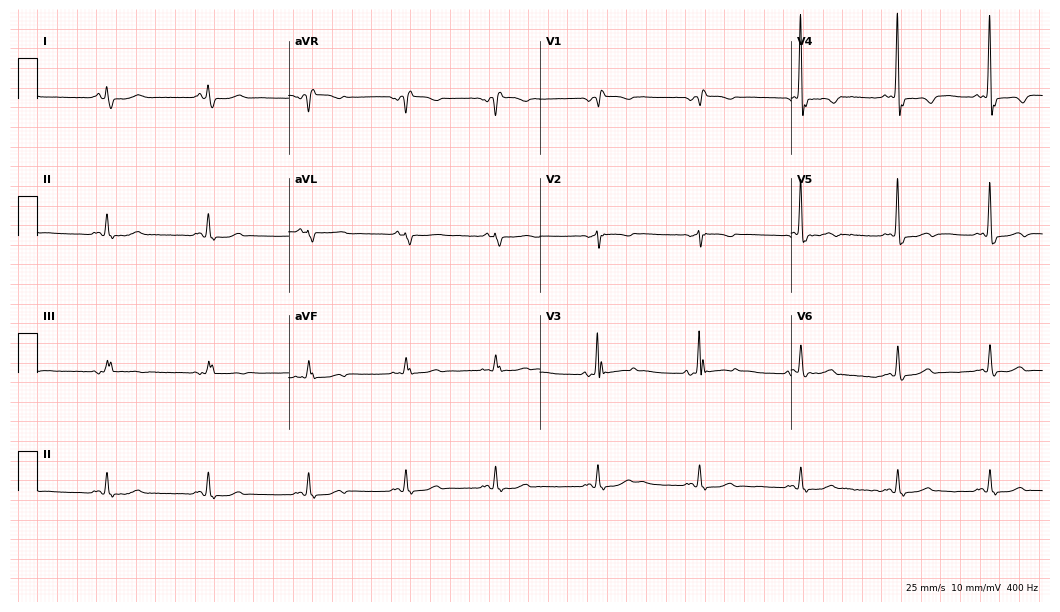
Electrocardiogram (10.2-second recording at 400 Hz), a female, 81 years old. Of the six screened findings (first-degree AV block, right bundle branch block, left bundle branch block, sinus bradycardia, atrial fibrillation, sinus tachycardia), none is recorded.